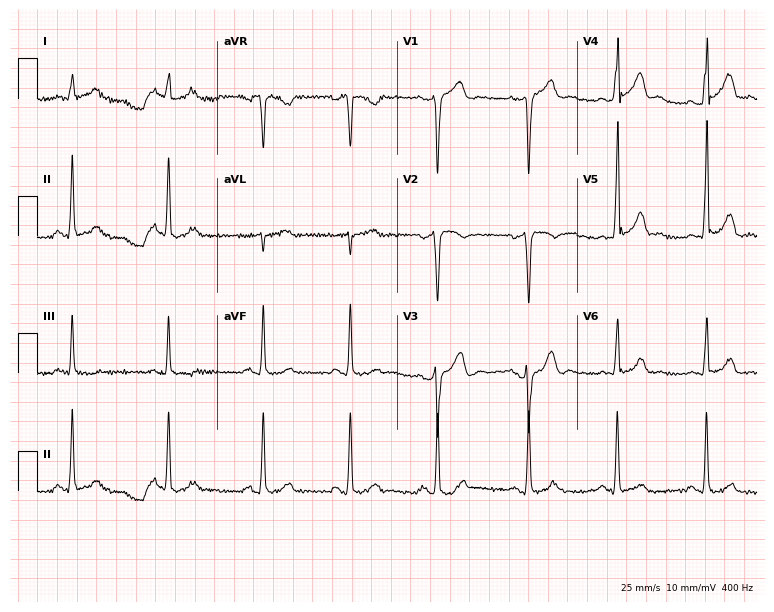
12-lead ECG (7.3-second recording at 400 Hz) from a male patient, 35 years old. Labelled as a normal ECG.